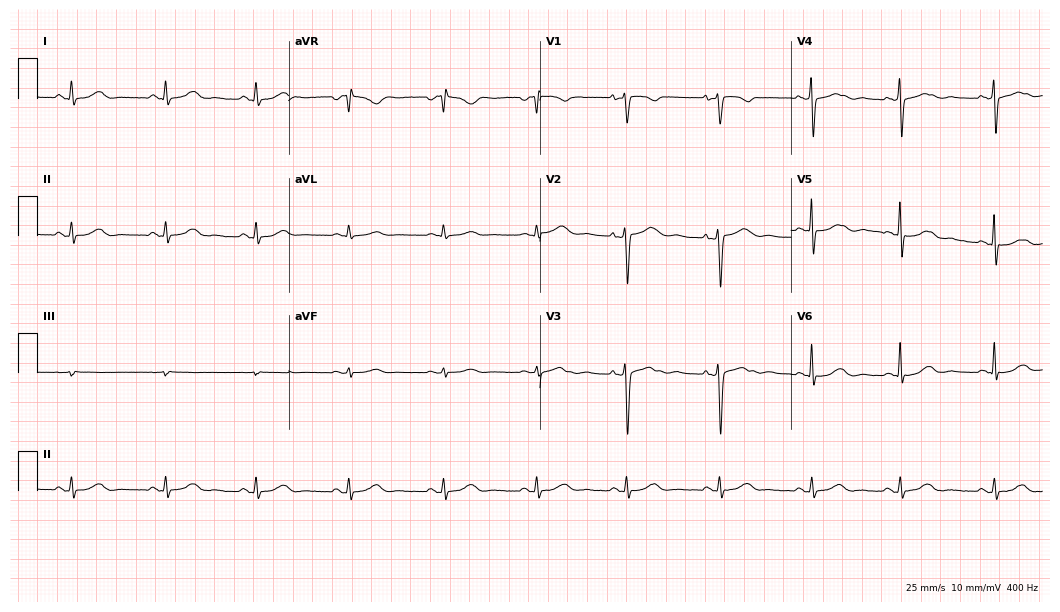
12-lead ECG (10.2-second recording at 400 Hz) from a 45-year-old female patient. Labelled as a normal ECG.